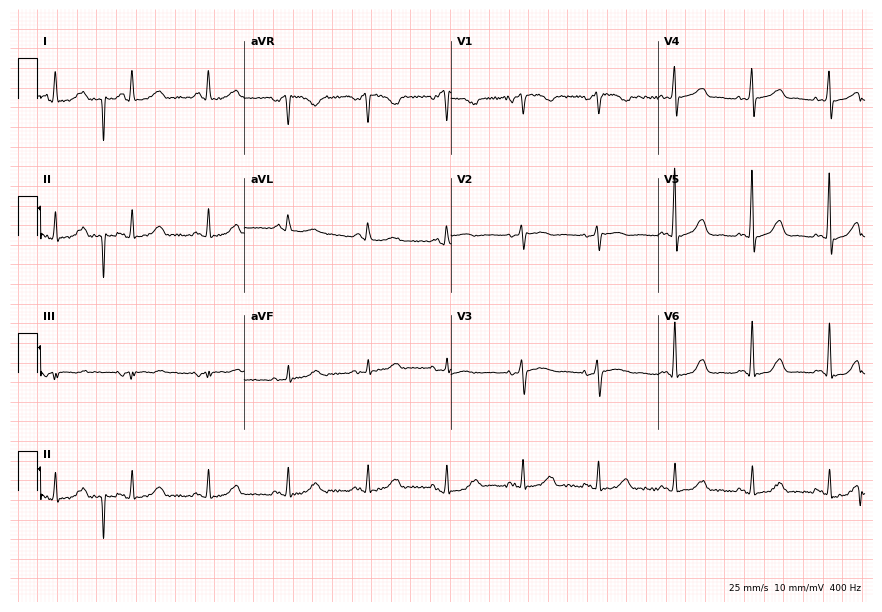
Standard 12-lead ECG recorded from a 71-year-old female patient. Read as a normal ECG.